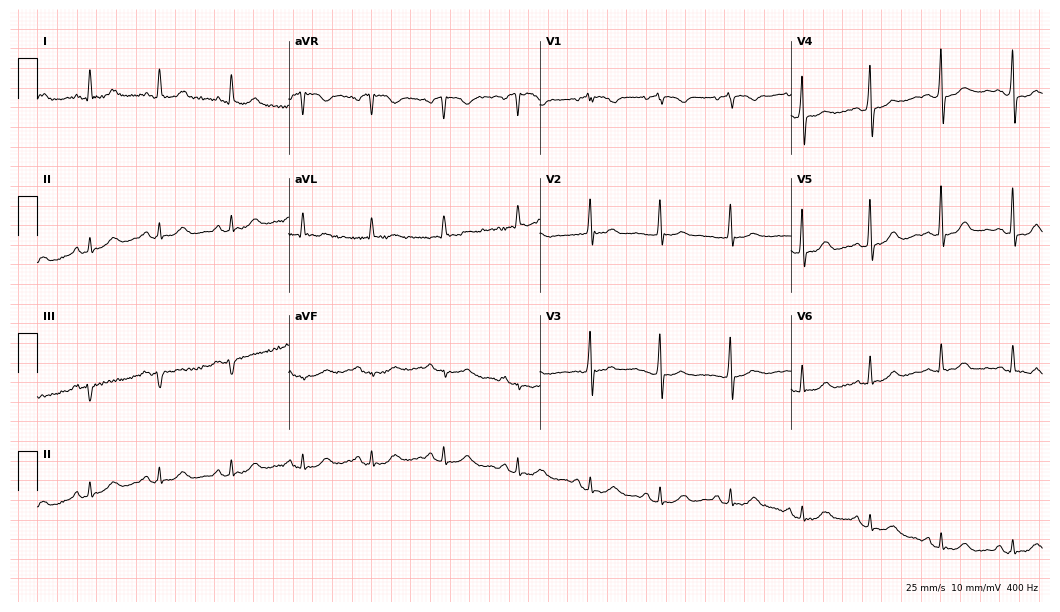
Standard 12-lead ECG recorded from a 73-year-old woman. Read as a normal ECG.